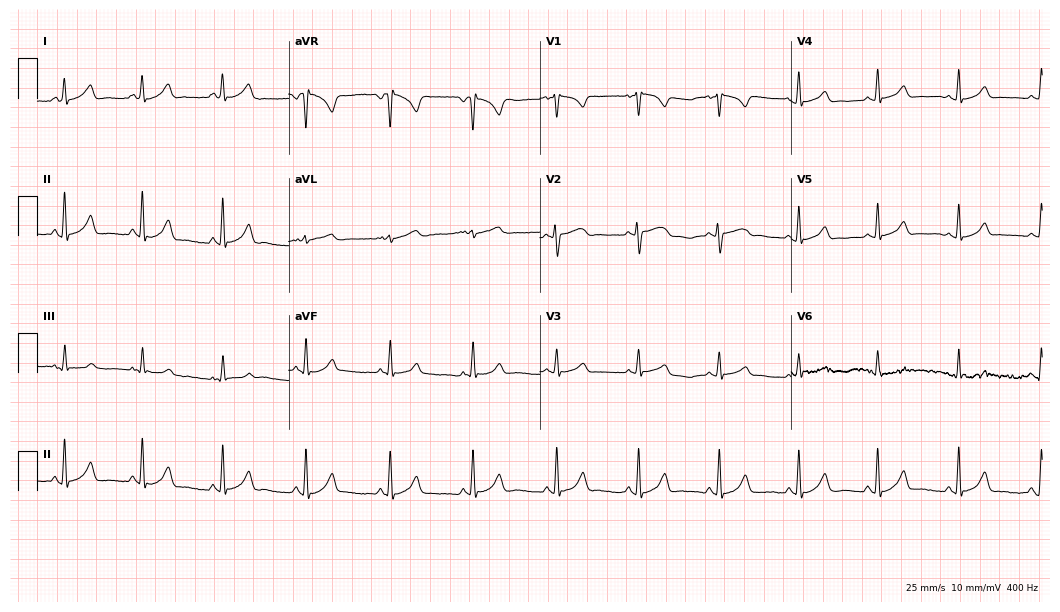
ECG (10.2-second recording at 400 Hz) — a 20-year-old woman. Labelled as a normal ECG.